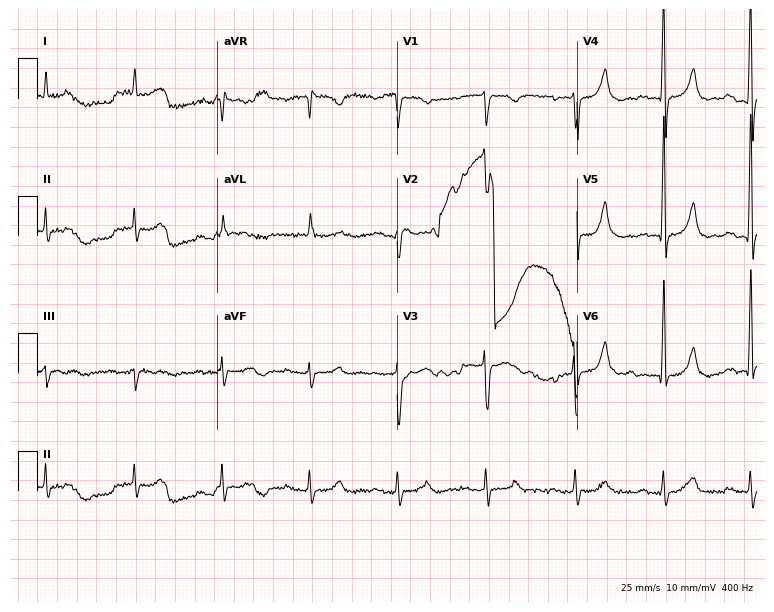
ECG — a 77-year-old male patient. Screened for six findings — first-degree AV block, right bundle branch block (RBBB), left bundle branch block (LBBB), sinus bradycardia, atrial fibrillation (AF), sinus tachycardia — none is recorded.